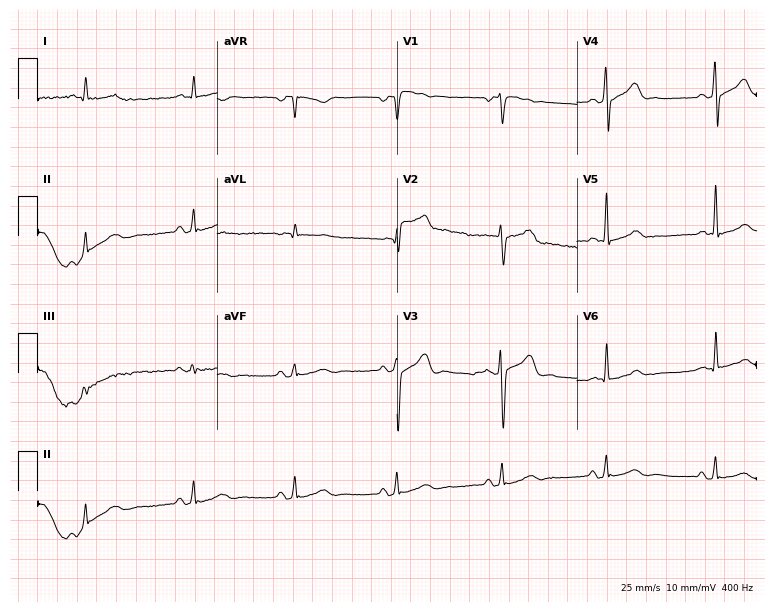
12-lead ECG from a male patient, 51 years old. No first-degree AV block, right bundle branch block, left bundle branch block, sinus bradycardia, atrial fibrillation or sinus tachycardia recorded for this tracing.